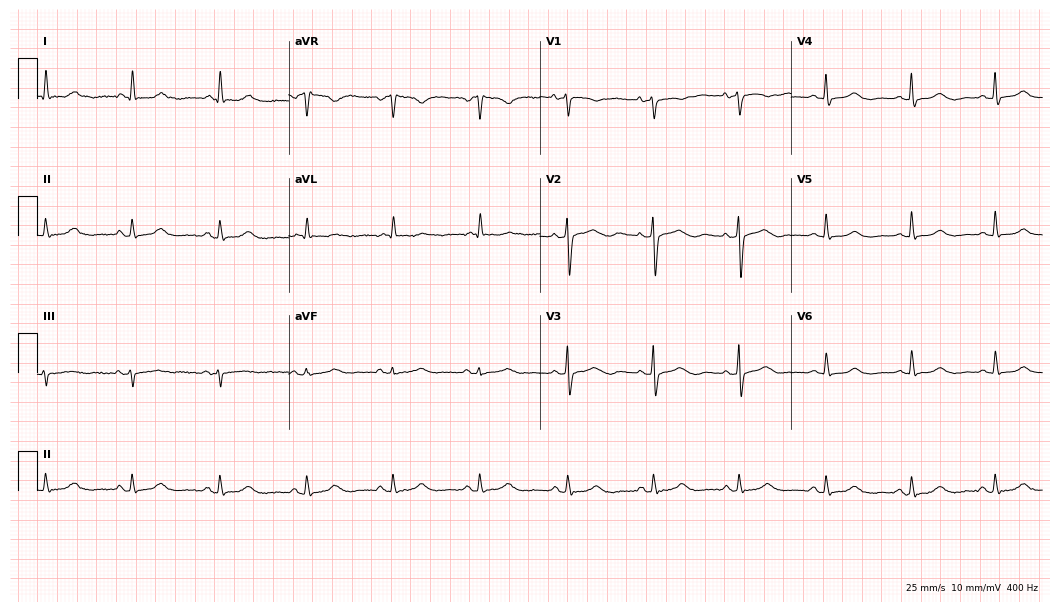
12-lead ECG from a female patient, 77 years old. Recorded interpretation: within normal limits.